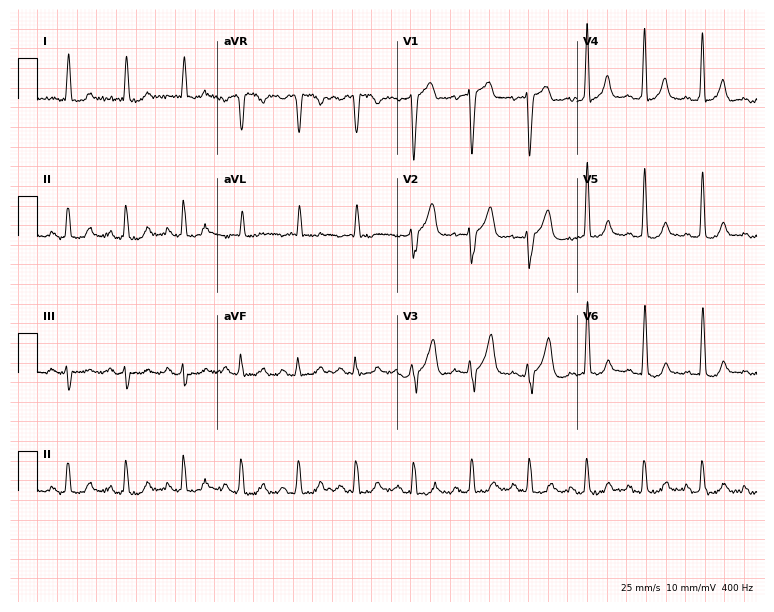
Standard 12-lead ECG recorded from a man, 68 years old. The tracing shows sinus tachycardia (a sinus rate of 100 beats per minute or more).